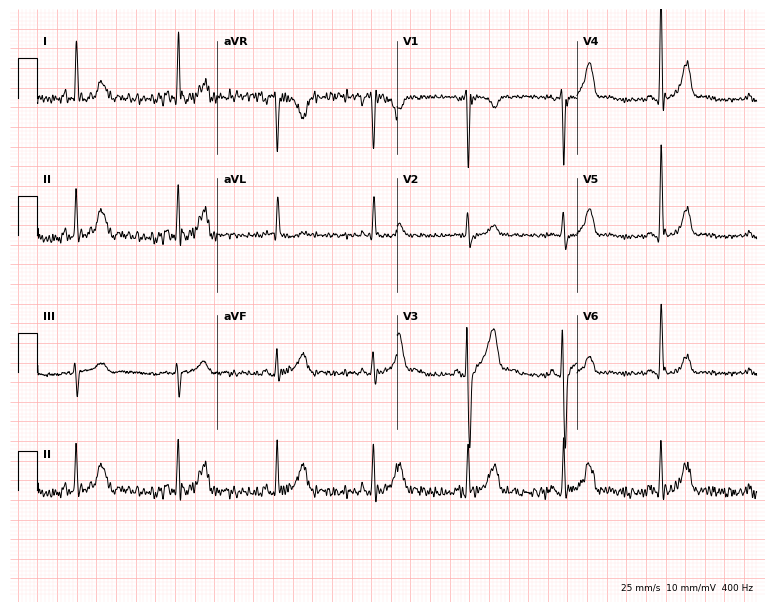
12-lead ECG from a man, 46 years old. Recorded interpretation: within normal limits.